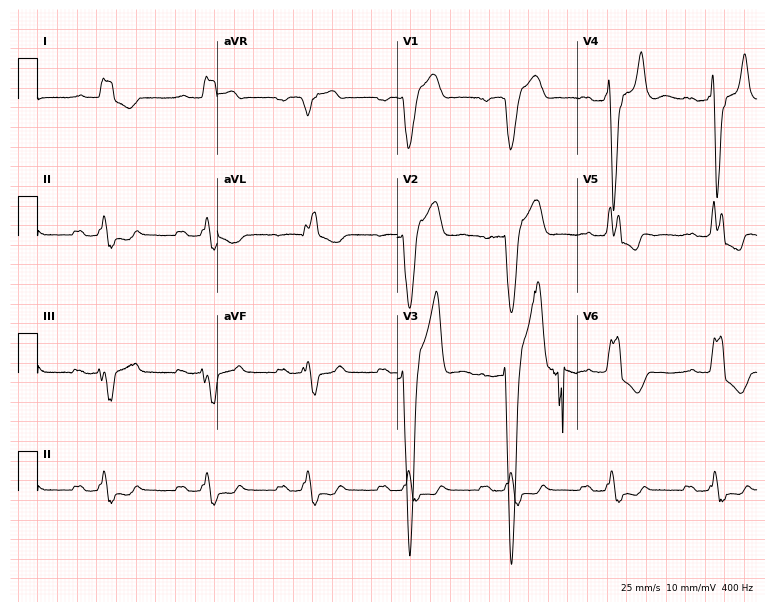
Standard 12-lead ECG recorded from a 77-year-old male patient. The tracing shows first-degree AV block, left bundle branch block (LBBB).